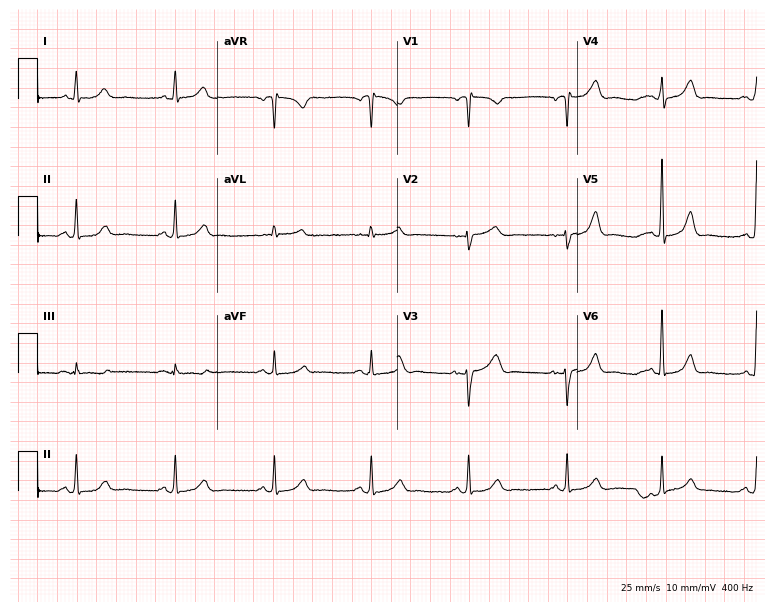
Standard 12-lead ECG recorded from a male, 69 years old (7.3-second recording at 400 Hz). None of these six findings is recorded: first-degree AV block, right bundle branch block (RBBB), left bundle branch block (LBBB), sinus bradycardia, atrial fibrillation (AF), sinus tachycardia. Findings outside these six are not listed.